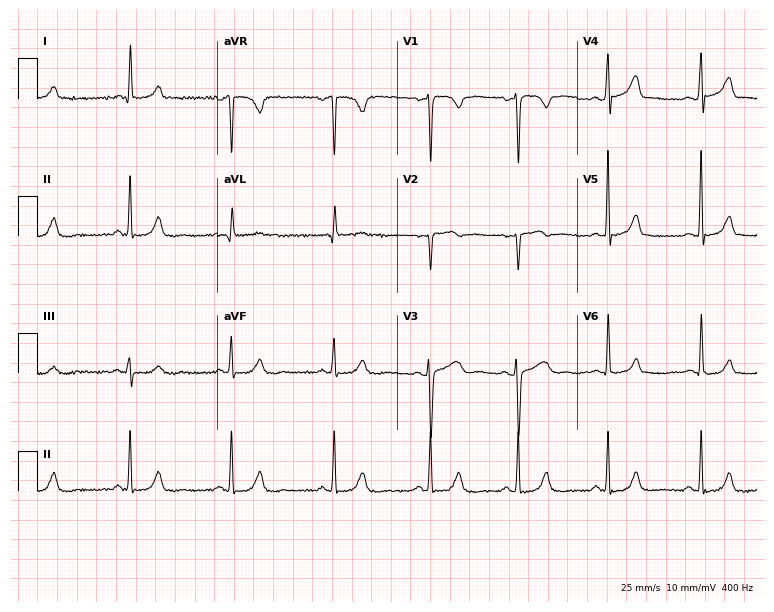
Standard 12-lead ECG recorded from a female patient, 44 years old. Read as a normal ECG.